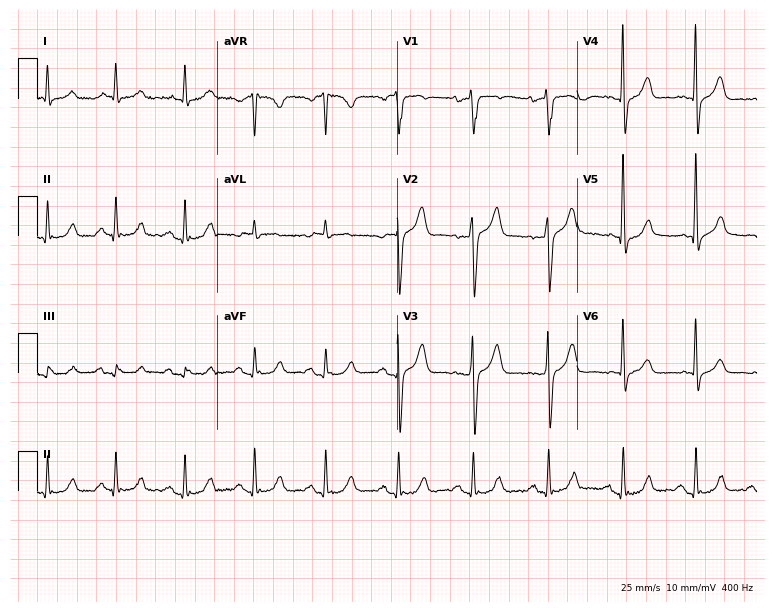
Electrocardiogram, a man, 79 years old. Of the six screened findings (first-degree AV block, right bundle branch block, left bundle branch block, sinus bradycardia, atrial fibrillation, sinus tachycardia), none is recorded. Other findings, if any, are not listed.